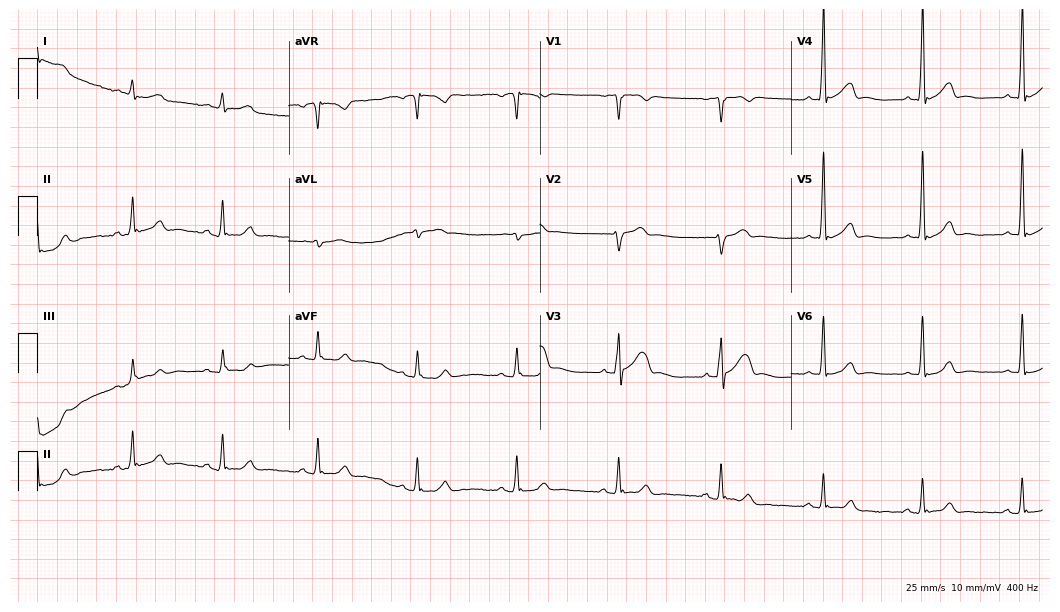
12-lead ECG (10.2-second recording at 400 Hz) from a male patient, 41 years old. Labelled as a normal ECG.